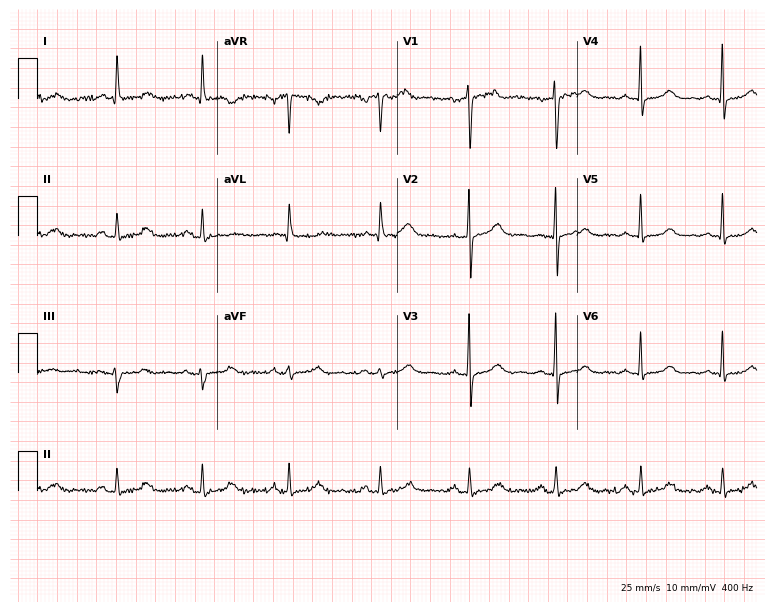
Electrocardiogram (7.3-second recording at 400 Hz), a 44-year-old woman. Of the six screened findings (first-degree AV block, right bundle branch block (RBBB), left bundle branch block (LBBB), sinus bradycardia, atrial fibrillation (AF), sinus tachycardia), none is recorded. Other findings, if any, are not listed.